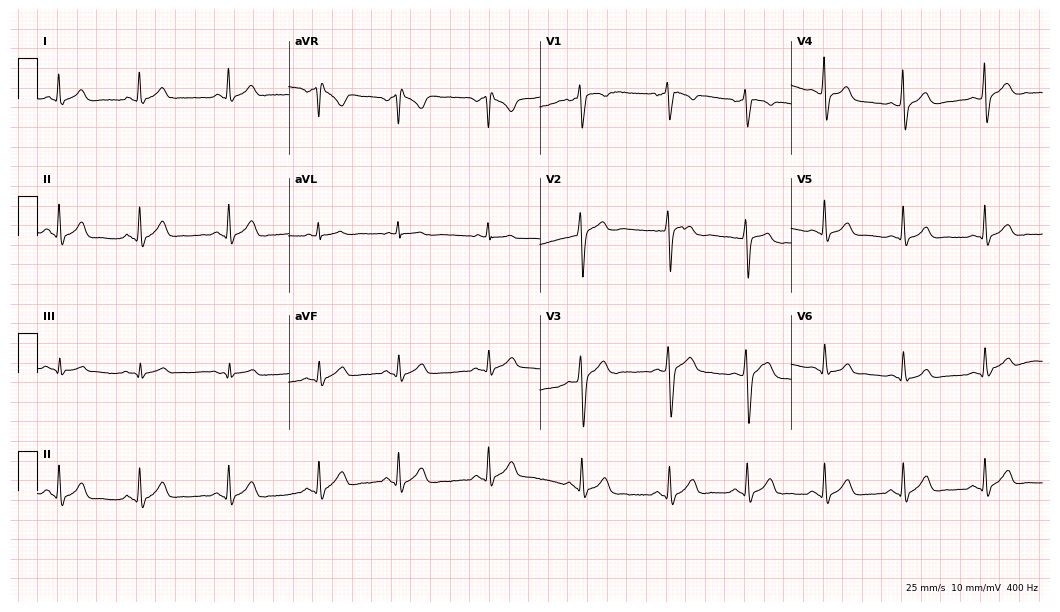
12-lead ECG from a male, 36 years old (10.2-second recording at 400 Hz). Recorded interpretation: within normal limits.